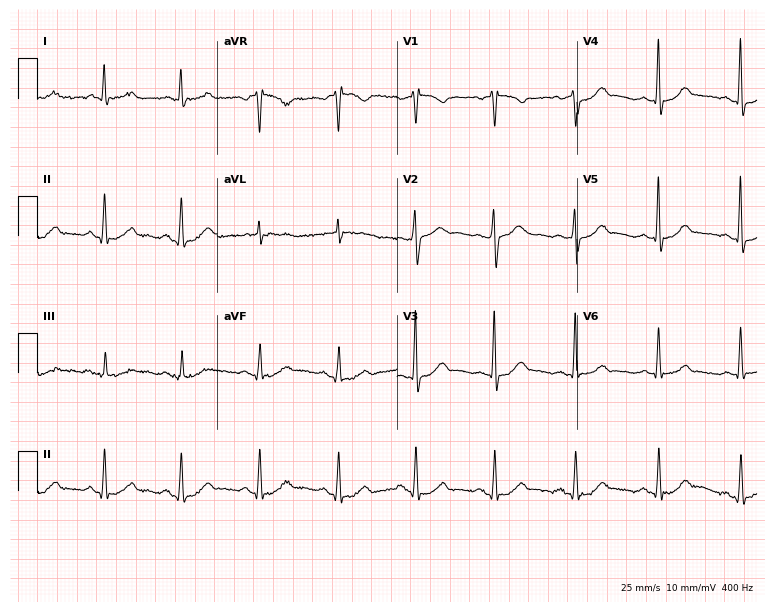
12-lead ECG from a 43-year-old female patient (7.3-second recording at 400 Hz). No first-degree AV block, right bundle branch block (RBBB), left bundle branch block (LBBB), sinus bradycardia, atrial fibrillation (AF) or sinus tachycardia recorded for this tracing. Findings outside these six are not listed.